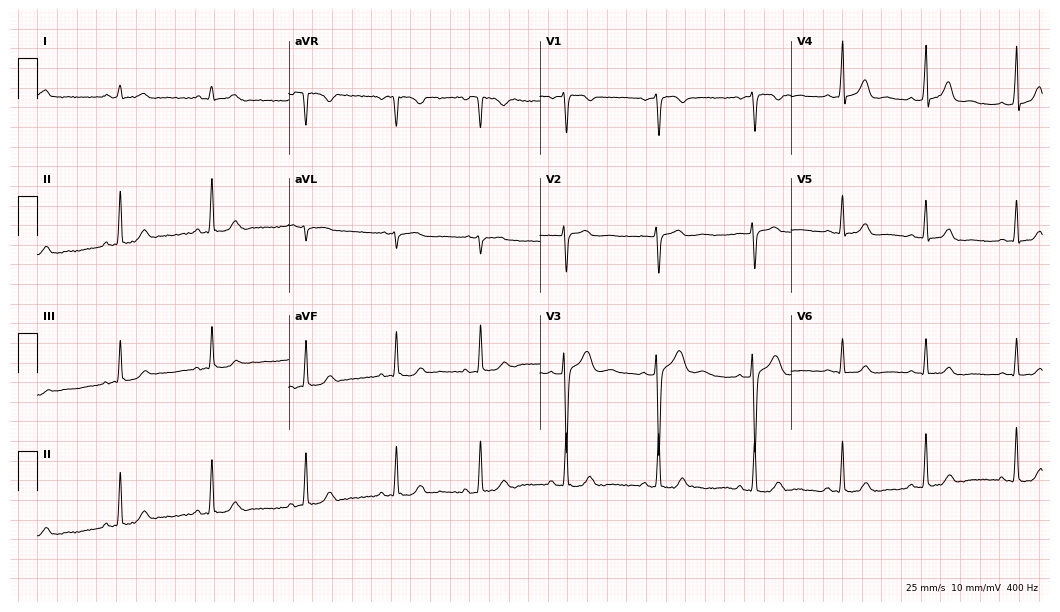
Electrocardiogram (10.2-second recording at 400 Hz), a 23-year-old woman. Overall reading on record: normal ECG.